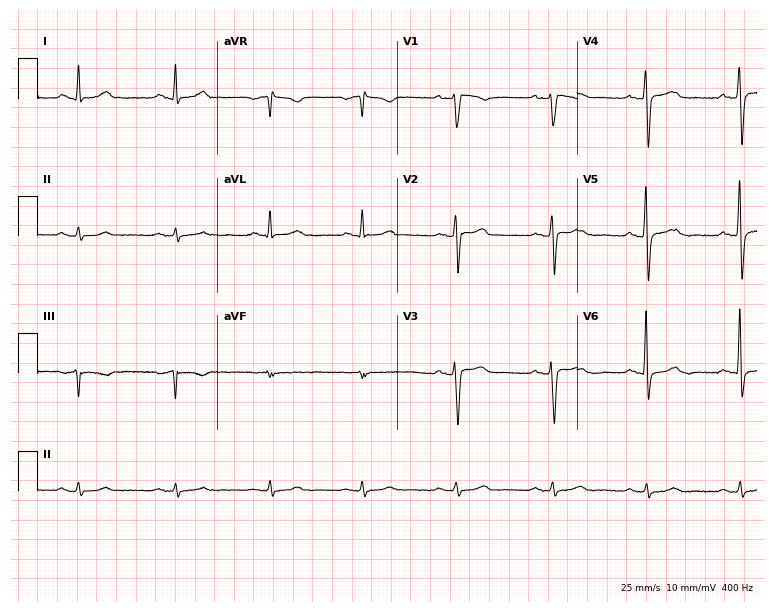
Standard 12-lead ECG recorded from a 61-year-old man (7.3-second recording at 400 Hz). None of these six findings is recorded: first-degree AV block, right bundle branch block, left bundle branch block, sinus bradycardia, atrial fibrillation, sinus tachycardia. Other findings, if any, are not listed.